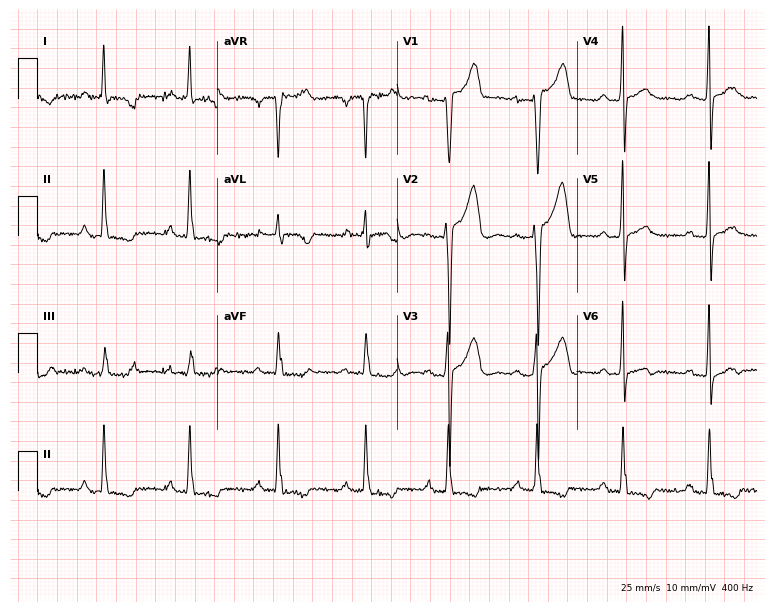
Resting 12-lead electrocardiogram (7.3-second recording at 400 Hz). Patient: a 42-year-old female. None of these six findings is recorded: first-degree AV block, right bundle branch block, left bundle branch block, sinus bradycardia, atrial fibrillation, sinus tachycardia.